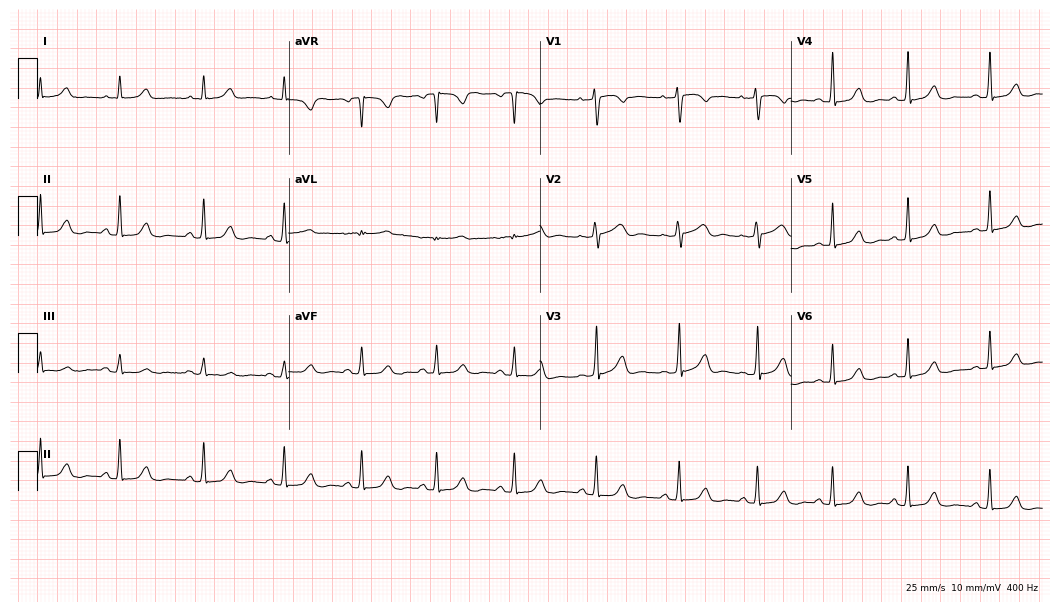
12-lead ECG (10.2-second recording at 400 Hz) from a 41-year-old female patient. Screened for six findings — first-degree AV block, right bundle branch block, left bundle branch block, sinus bradycardia, atrial fibrillation, sinus tachycardia — none is recorded. Other findings, if any, are not listed.